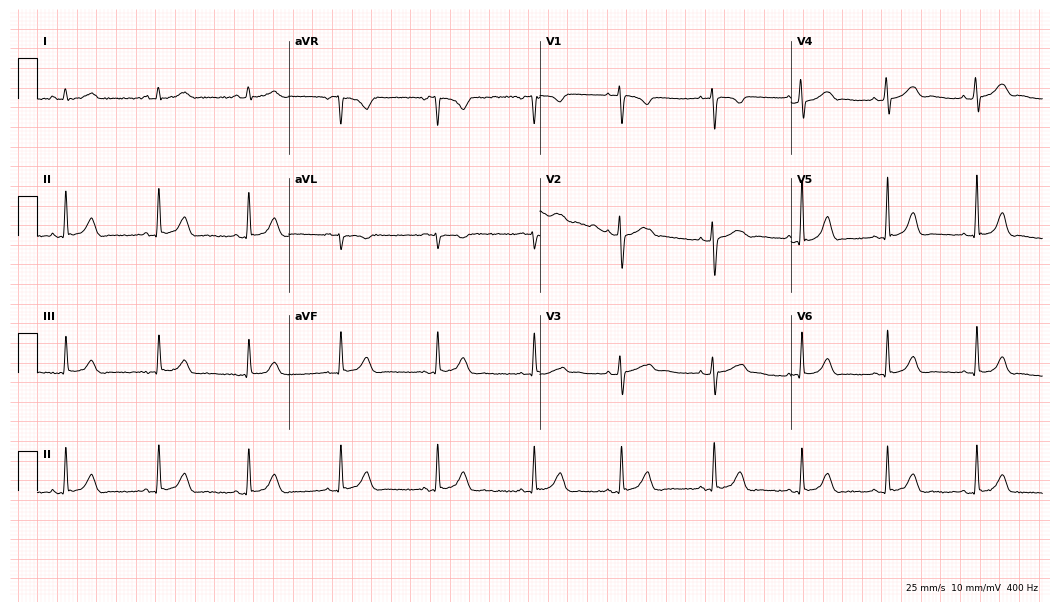
ECG — a woman, 21 years old. Labelled as a normal ECG.